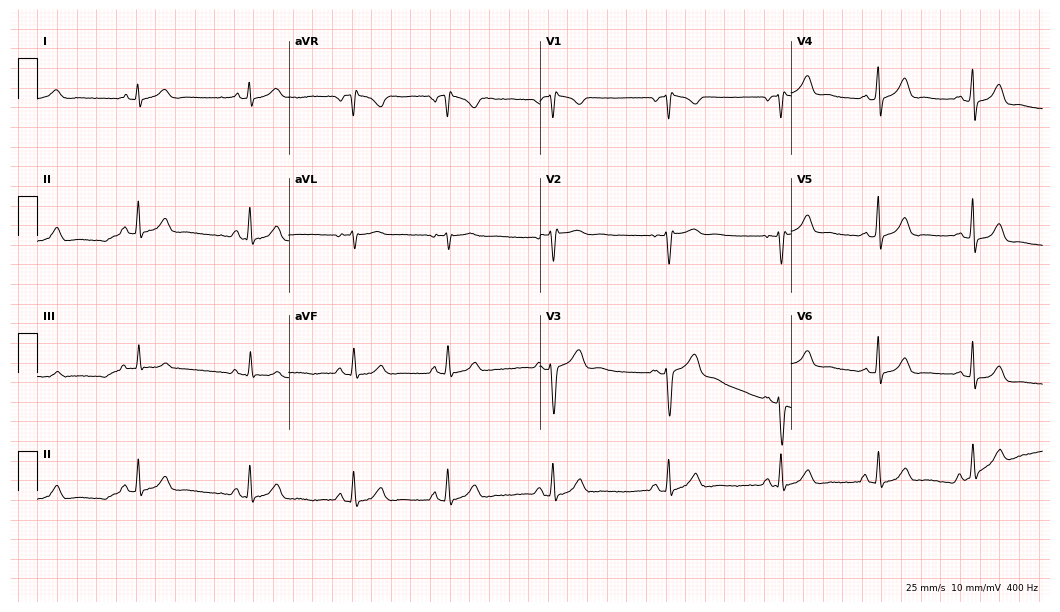
12-lead ECG (10.2-second recording at 400 Hz) from a female, 21 years old. Screened for six findings — first-degree AV block, right bundle branch block (RBBB), left bundle branch block (LBBB), sinus bradycardia, atrial fibrillation (AF), sinus tachycardia — none is recorded. Other findings, if any, are not listed.